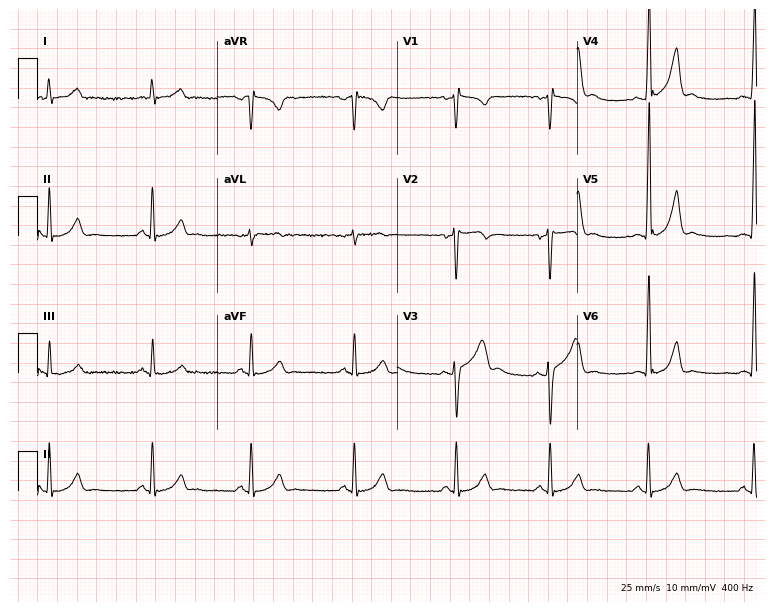
12-lead ECG from a 30-year-old male (7.3-second recording at 400 Hz). No first-degree AV block, right bundle branch block (RBBB), left bundle branch block (LBBB), sinus bradycardia, atrial fibrillation (AF) or sinus tachycardia recorded for this tracing.